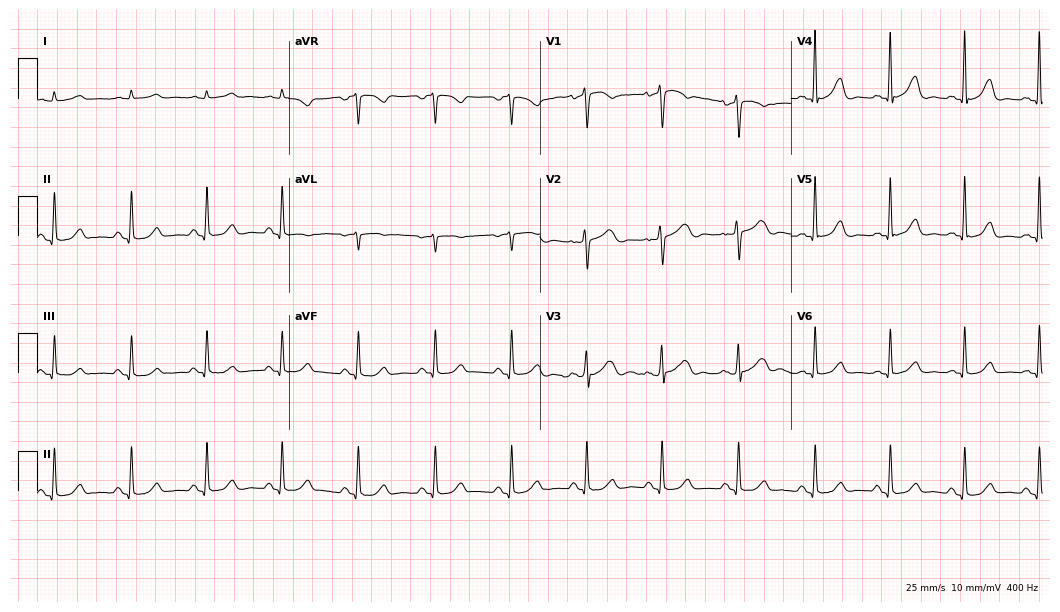
12-lead ECG (10.2-second recording at 400 Hz) from a 76-year-old female. Labelled as a normal ECG.